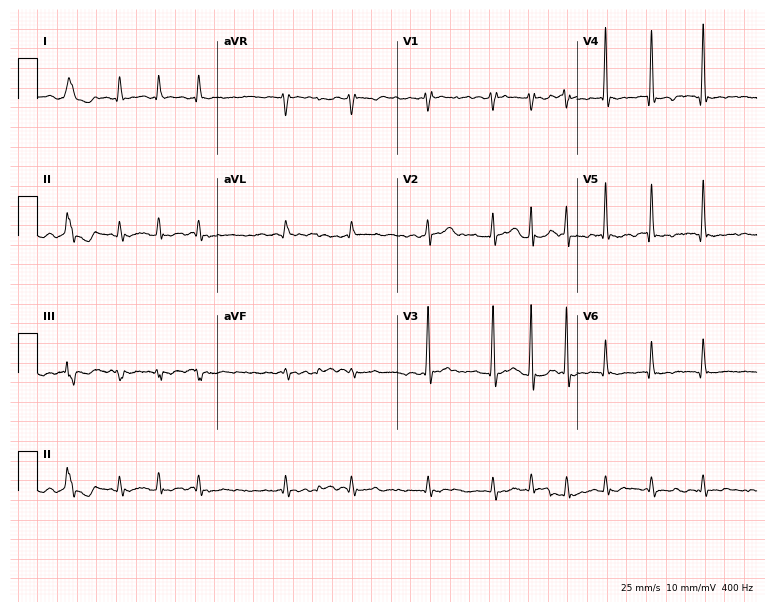
ECG (7.3-second recording at 400 Hz) — a male patient, 66 years old. Findings include atrial fibrillation.